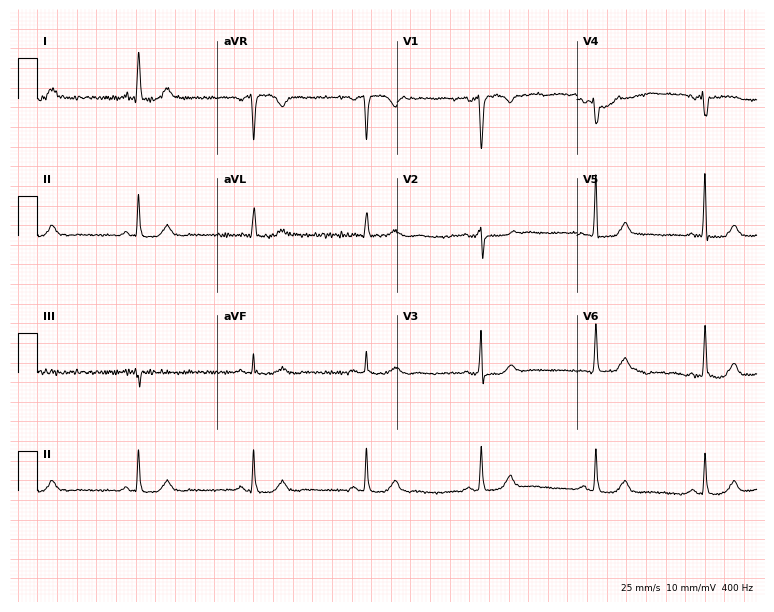
ECG (7.3-second recording at 400 Hz) — a female, 62 years old. Labelled as a normal ECG.